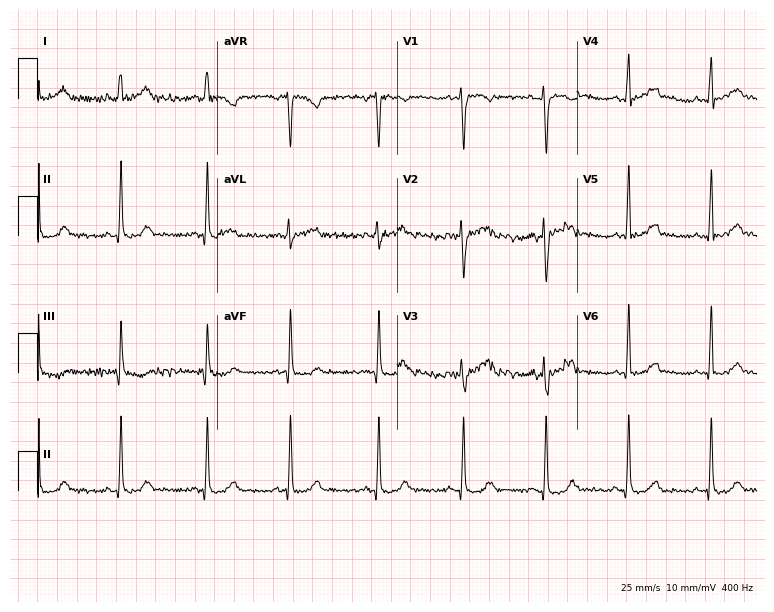
Standard 12-lead ECG recorded from a 29-year-old female. Read as a normal ECG.